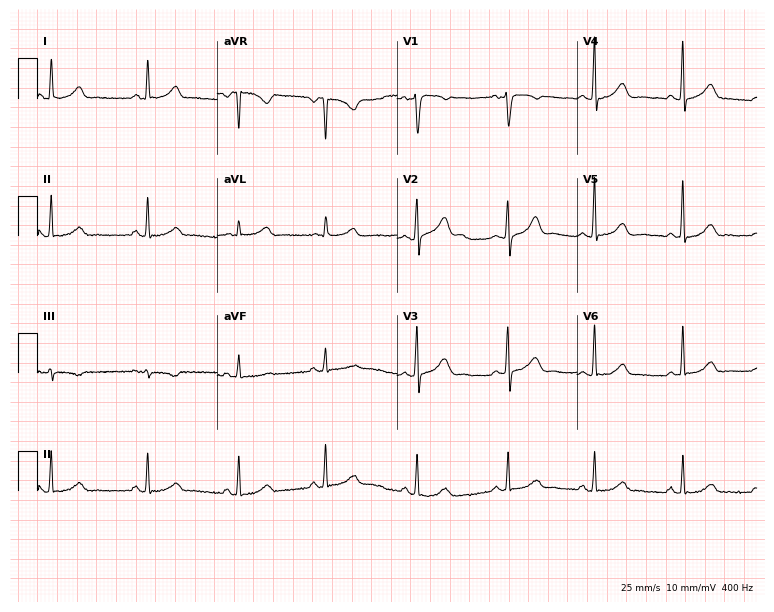
ECG — a 54-year-old female patient. Labelled as a normal ECG.